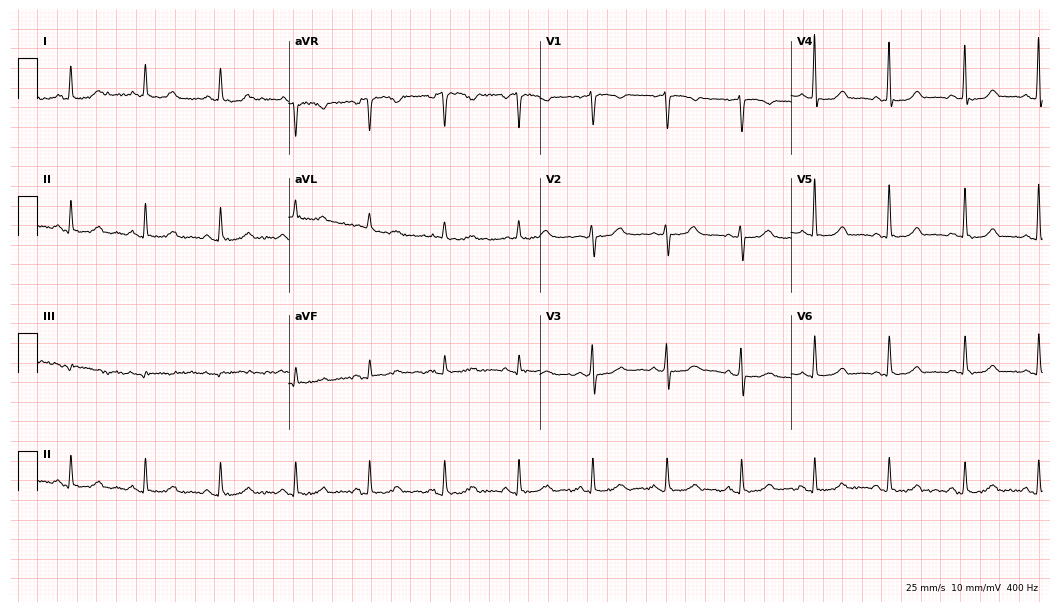
Resting 12-lead electrocardiogram (10.2-second recording at 400 Hz). Patient: a woman, 66 years old. Read as a normal ECG.